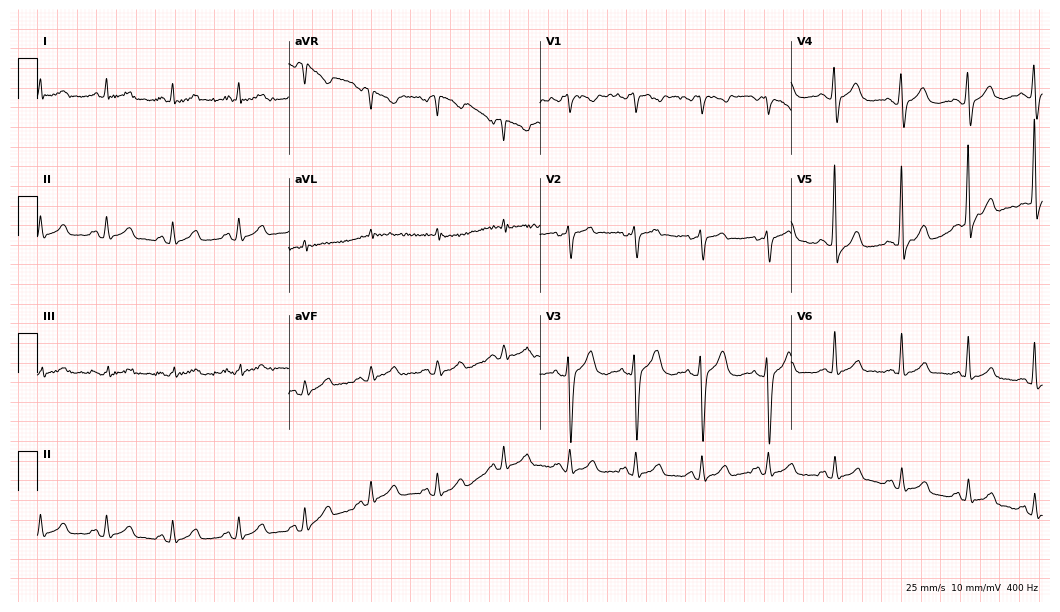
ECG — a 44-year-old male. Labelled as a normal ECG.